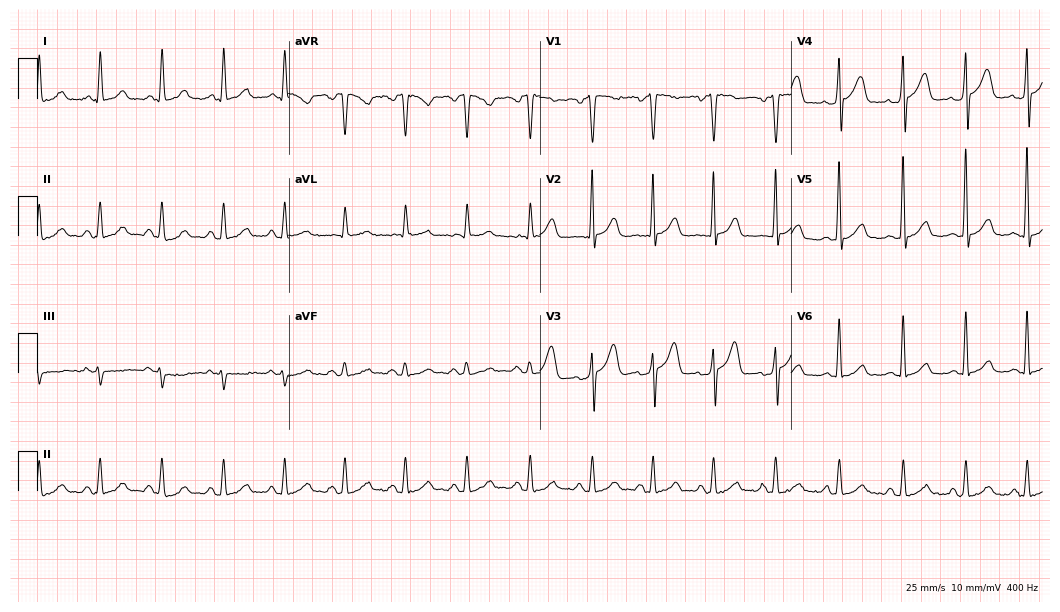
Resting 12-lead electrocardiogram. Patient: a female, 36 years old. Read as a normal ECG.